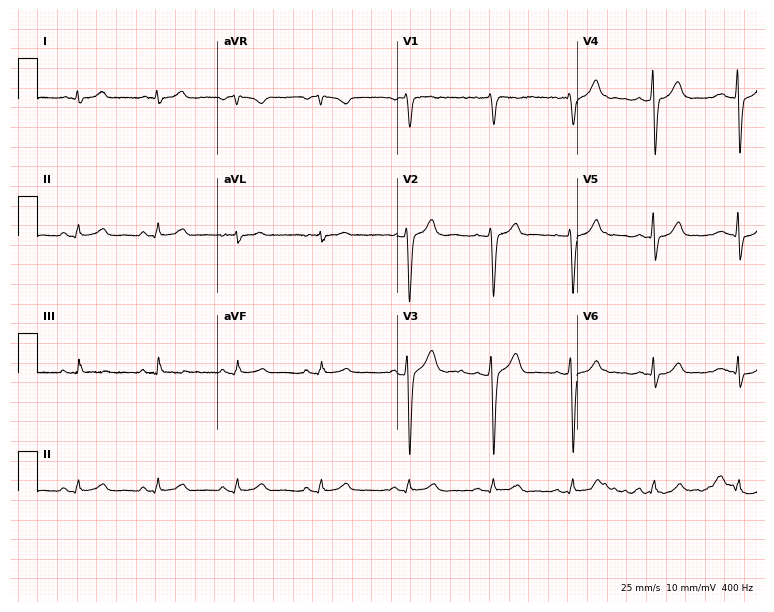
12-lead ECG from a 39-year-old man (7.3-second recording at 400 Hz). No first-degree AV block, right bundle branch block, left bundle branch block, sinus bradycardia, atrial fibrillation or sinus tachycardia recorded for this tracing.